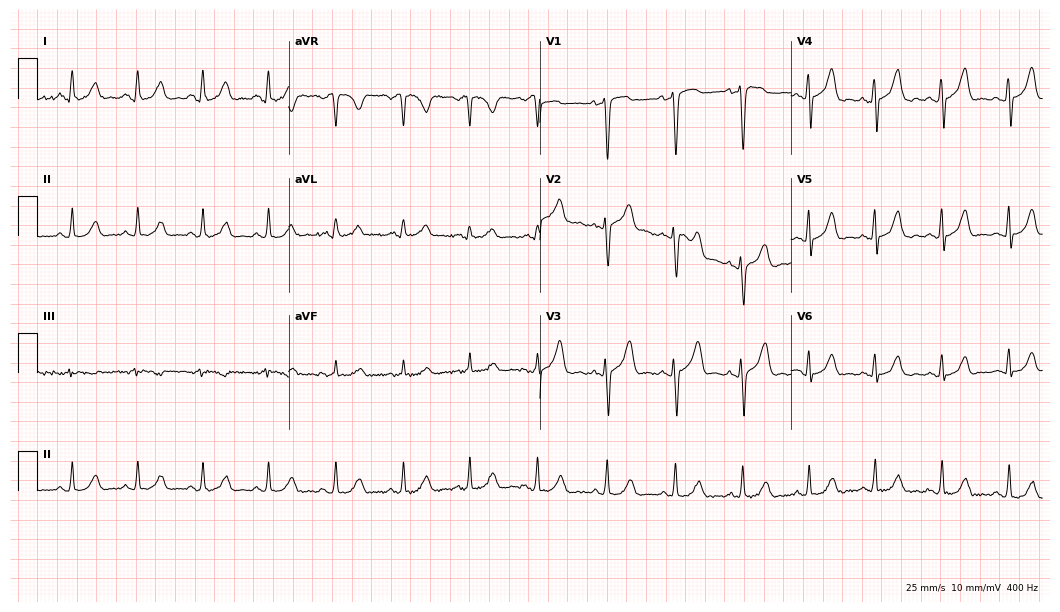
Electrocardiogram (10.2-second recording at 400 Hz), a 30-year-old female. Overall reading on record: normal ECG.